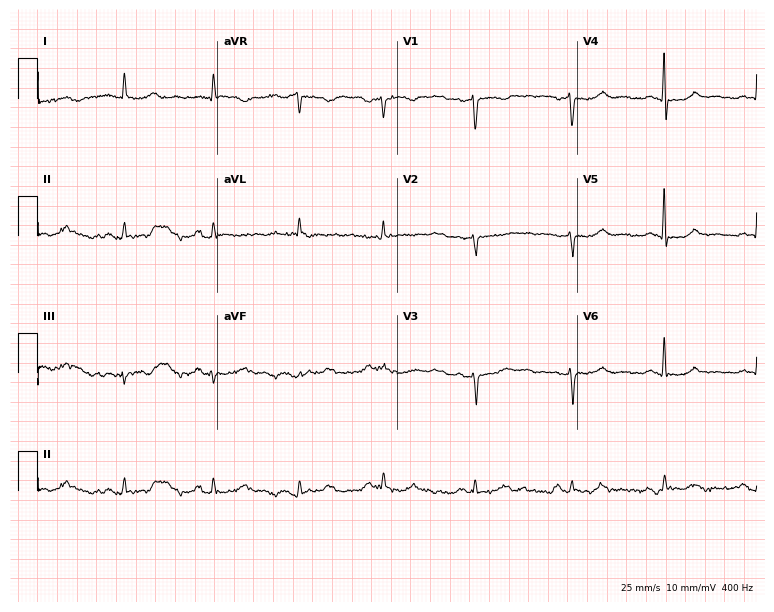
Electrocardiogram (7.3-second recording at 400 Hz), a female patient, 80 years old. Overall reading on record: normal ECG.